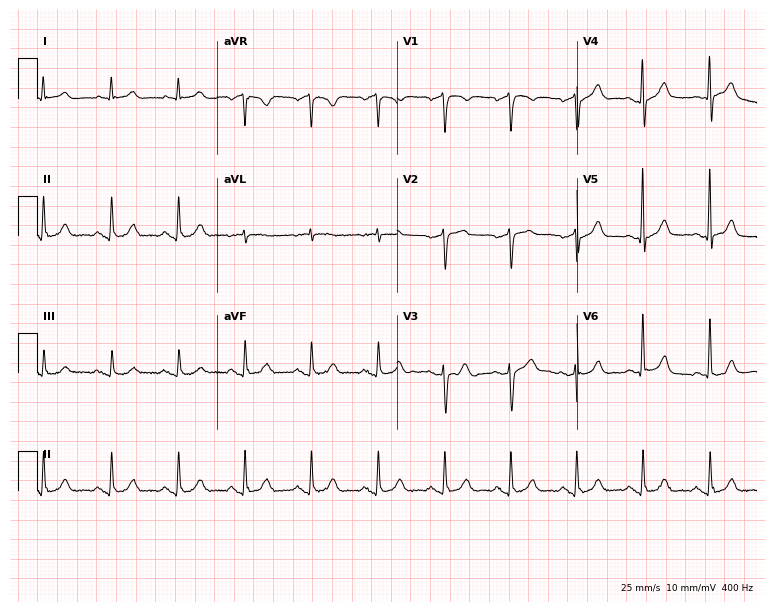
Electrocardiogram (7.3-second recording at 400 Hz), a man, 66 years old. Overall reading on record: normal ECG.